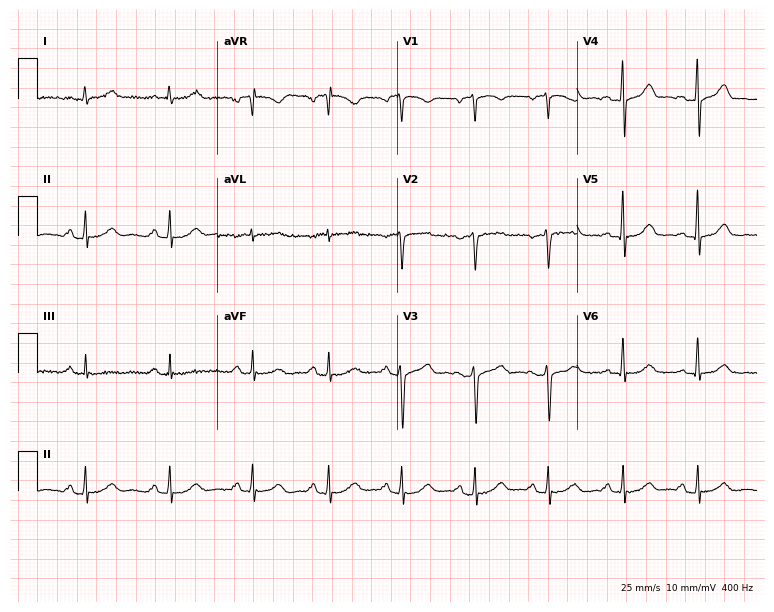
12-lead ECG from a female patient, 65 years old (7.3-second recording at 400 Hz). No first-degree AV block, right bundle branch block (RBBB), left bundle branch block (LBBB), sinus bradycardia, atrial fibrillation (AF) or sinus tachycardia recorded for this tracing.